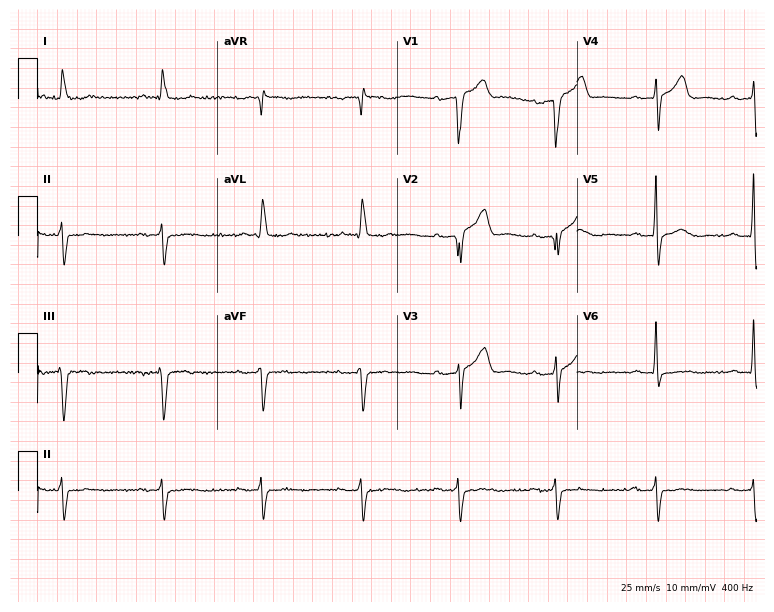
ECG (7.3-second recording at 400 Hz) — a man, 73 years old. Screened for six findings — first-degree AV block, right bundle branch block, left bundle branch block, sinus bradycardia, atrial fibrillation, sinus tachycardia — none is recorded.